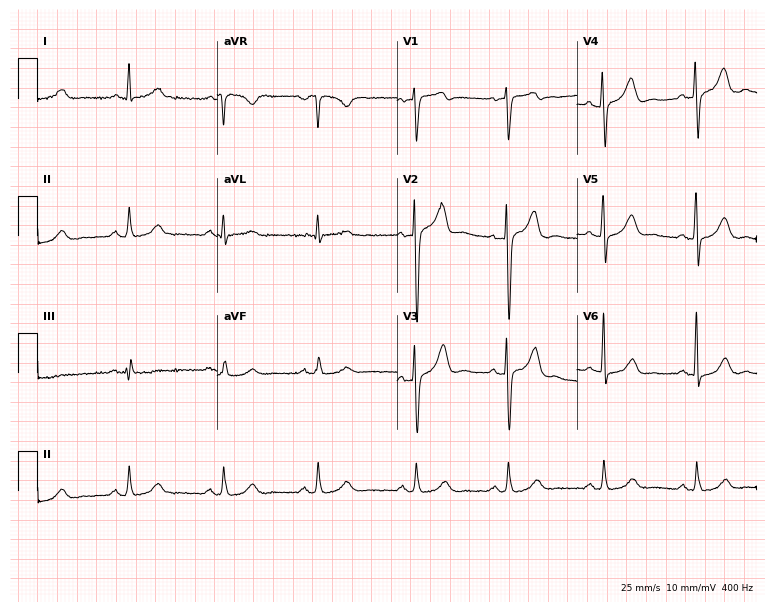
Resting 12-lead electrocardiogram. Patient: a man, 54 years old. None of these six findings is recorded: first-degree AV block, right bundle branch block, left bundle branch block, sinus bradycardia, atrial fibrillation, sinus tachycardia. Only these six findings were labelled.